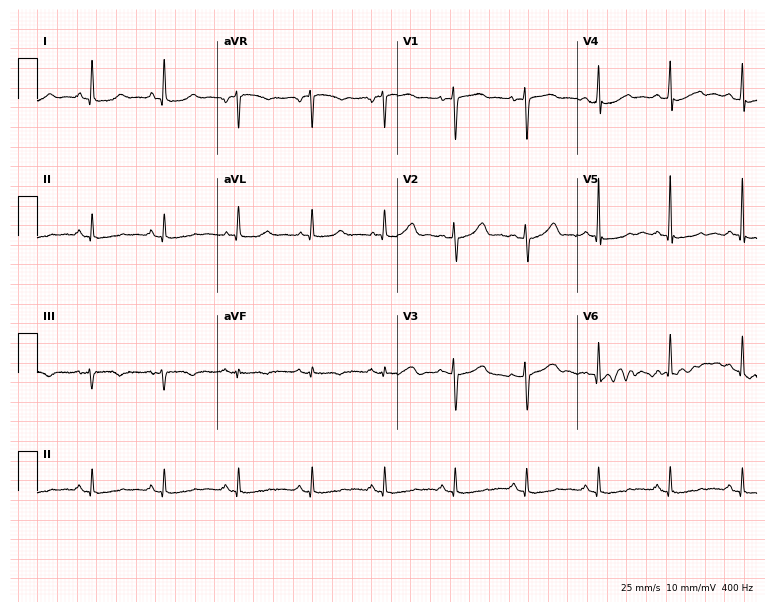
Resting 12-lead electrocardiogram. Patient: a 58-year-old female. None of these six findings is recorded: first-degree AV block, right bundle branch block, left bundle branch block, sinus bradycardia, atrial fibrillation, sinus tachycardia.